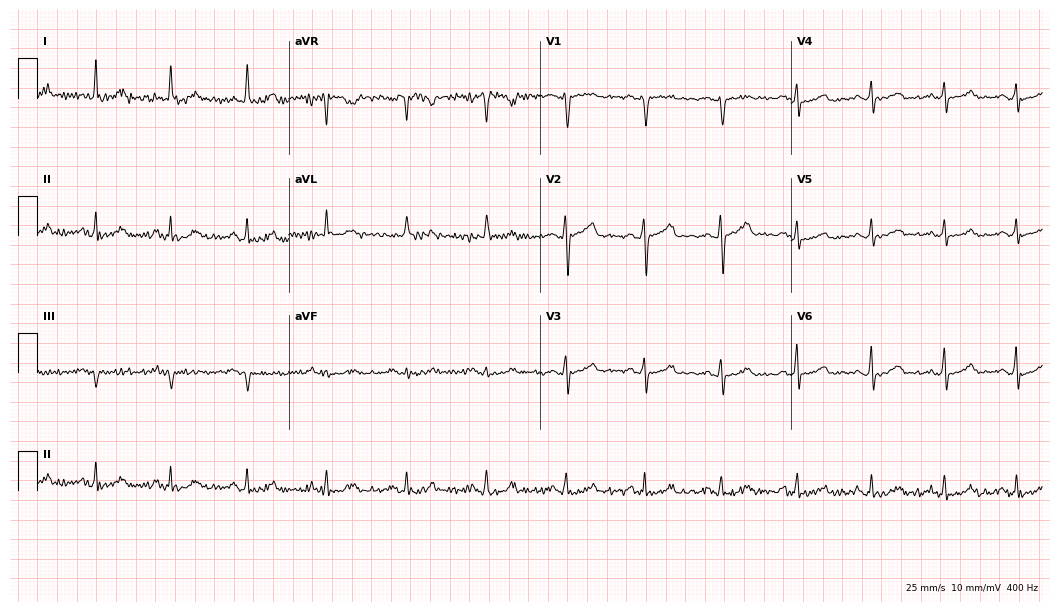
Standard 12-lead ECG recorded from a man, 46 years old (10.2-second recording at 400 Hz). Read as a normal ECG.